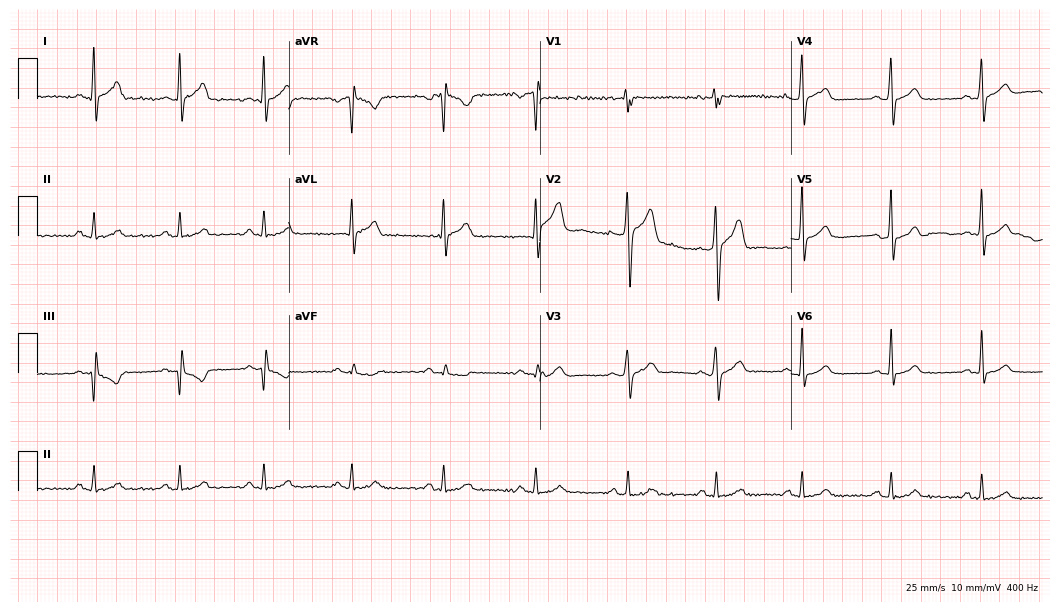
Standard 12-lead ECG recorded from a 33-year-old man (10.2-second recording at 400 Hz). Read as a normal ECG.